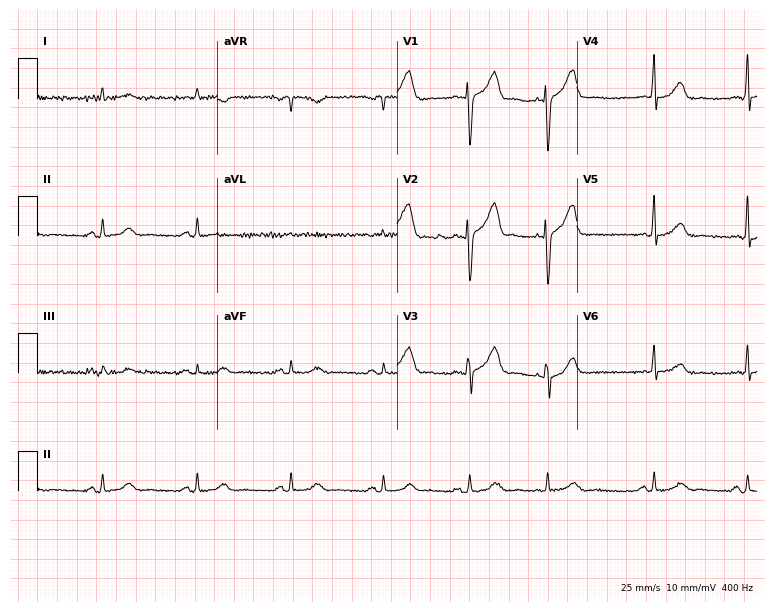
Standard 12-lead ECG recorded from a male patient, 73 years old (7.3-second recording at 400 Hz). None of these six findings is recorded: first-degree AV block, right bundle branch block, left bundle branch block, sinus bradycardia, atrial fibrillation, sinus tachycardia. Findings outside these six are not listed.